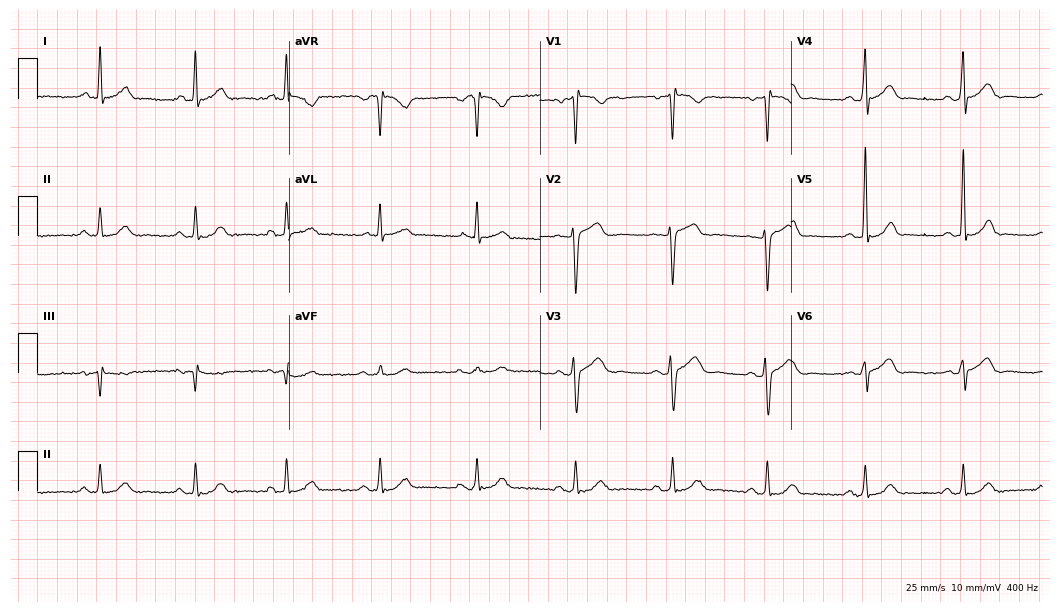
ECG — a 40-year-old male. Labelled as a normal ECG.